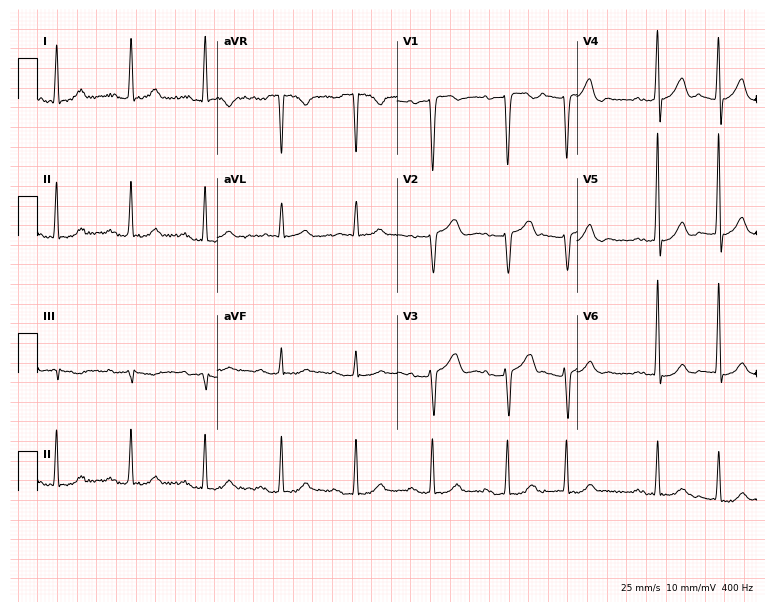
12-lead ECG (7.3-second recording at 400 Hz) from a male, 74 years old. Screened for six findings — first-degree AV block, right bundle branch block, left bundle branch block, sinus bradycardia, atrial fibrillation, sinus tachycardia — none is recorded. Findings outside these six are not listed.